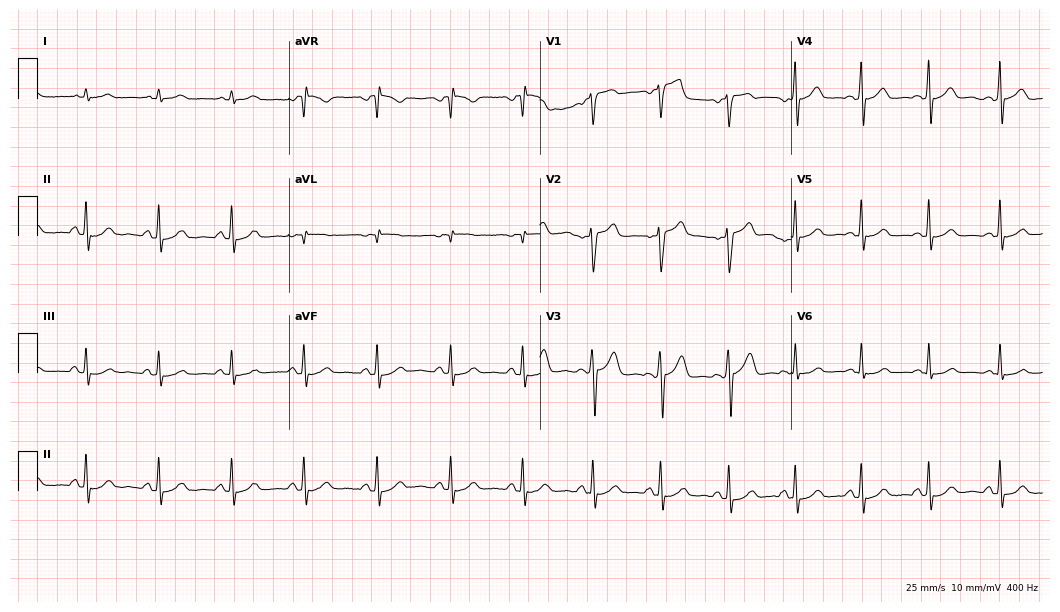
Resting 12-lead electrocardiogram (10.2-second recording at 400 Hz). Patient: a 55-year-old male. Read as a normal ECG.